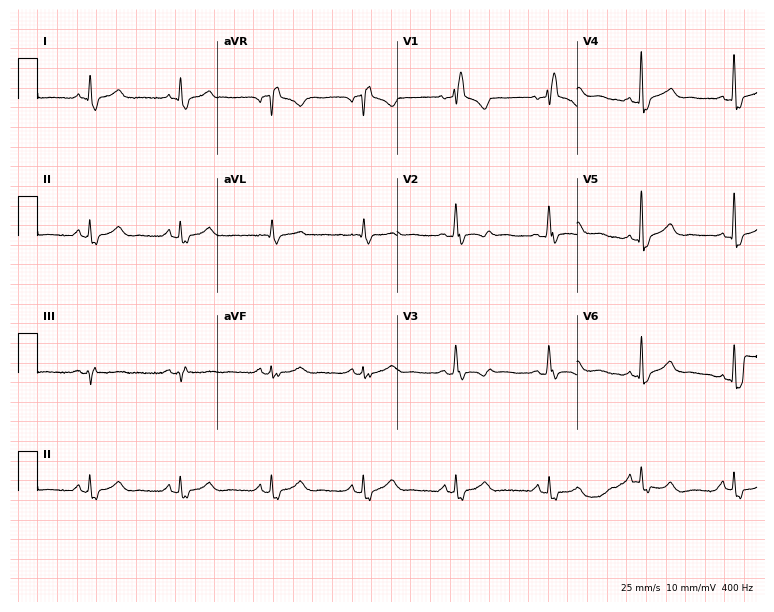
12-lead ECG from a woman, 55 years old. Shows right bundle branch block (RBBB).